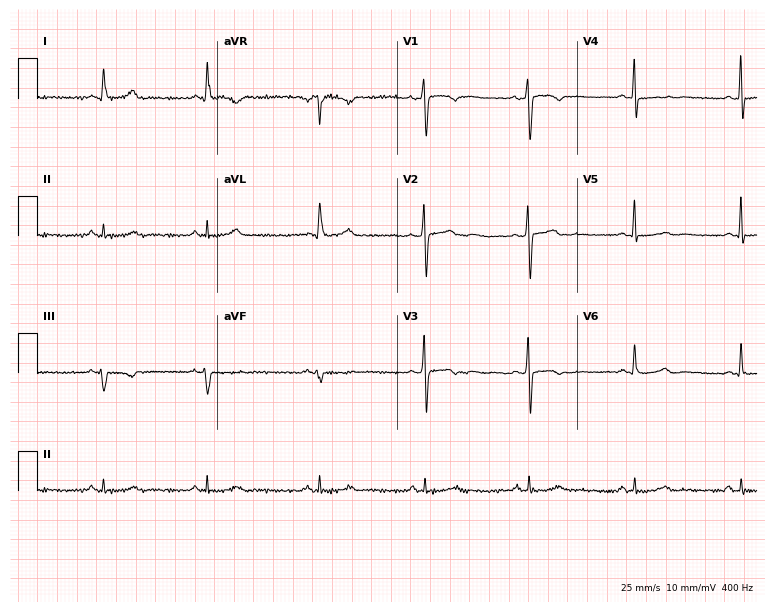
12-lead ECG from a woman, 47 years old. Screened for six findings — first-degree AV block, right bundle branch block (RBBB), left bundle branch block (LBBB), sinus bradycardia, atrial fibrillation (AF), sinus tachycardia — none is recorded. Only these six findings were labelled.